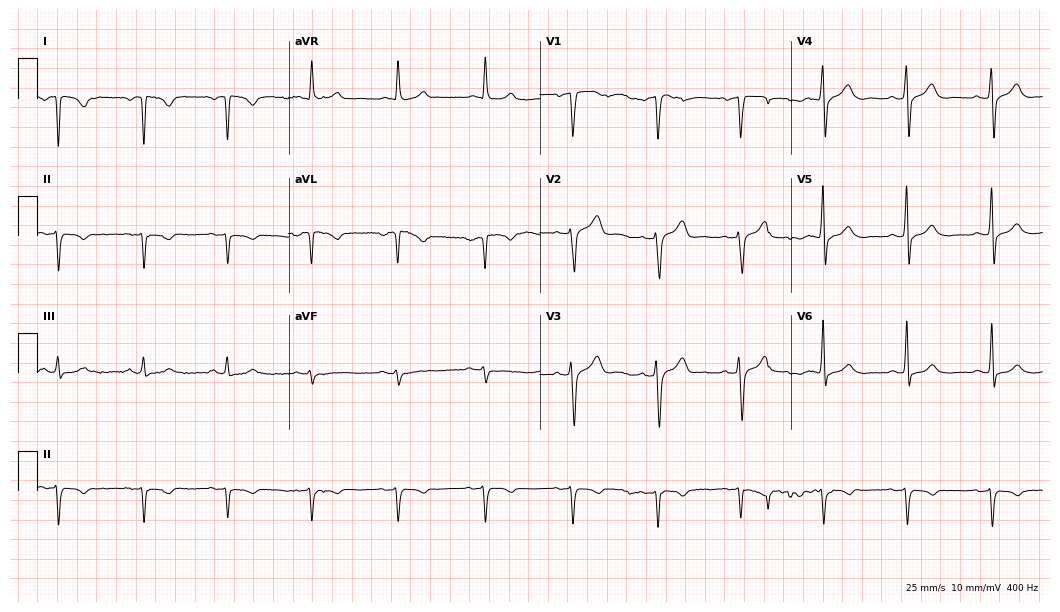
Standard 12-lead ECG recorded from a 55-year-old male. None of these six findings is recorded: first-degree AV block, right bundle branch block (RBBB), left bundle branch block (LBBB), sinus bradycardia, atrial fibrillation (AF), sinus tachycardia.